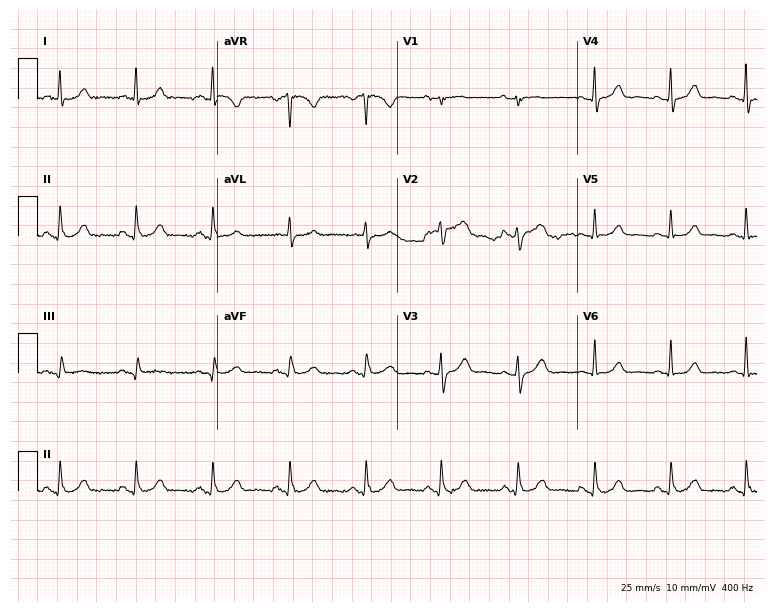
12-lead ECG from a man, 61 years old. Labelled as a normal ECG.